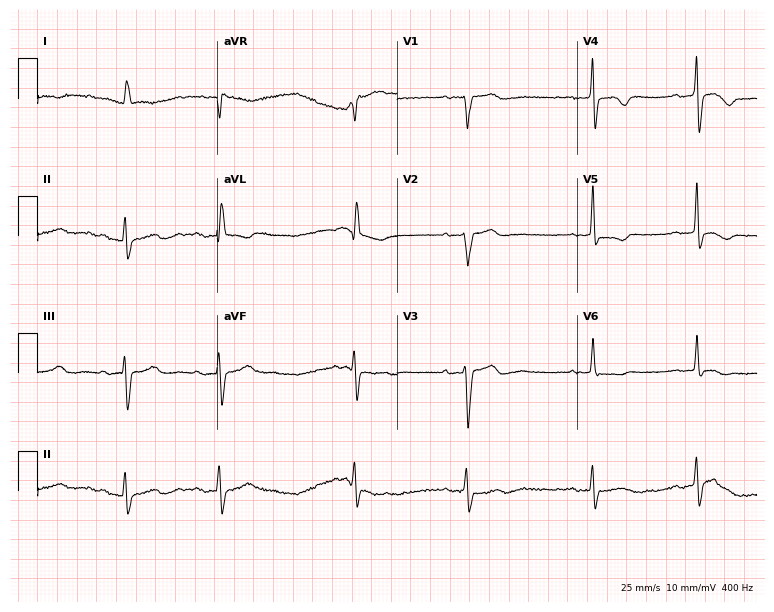
12-lead ECG from an 84-year-old female patient. Screened for six findings — first-degree AV block, right bundle branch block, left bundle branch block, sinus bradycardia, atrial fibrillation, sinus tachycardia — none is recorded. Other findings, if any, are not listed.